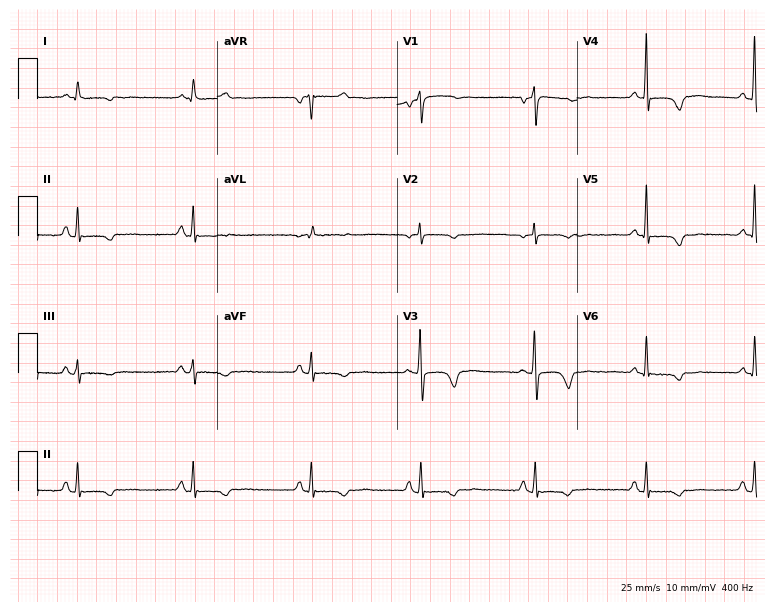
12-lead ECG from a 69-year-old woman. Screened for six findings — first-degree AV block, right bundle branch block, left bundle branch block, sinus bradycardia, atrial fibrillation, sinus tachycardia — none is recorded. Only these six findings were labelled.